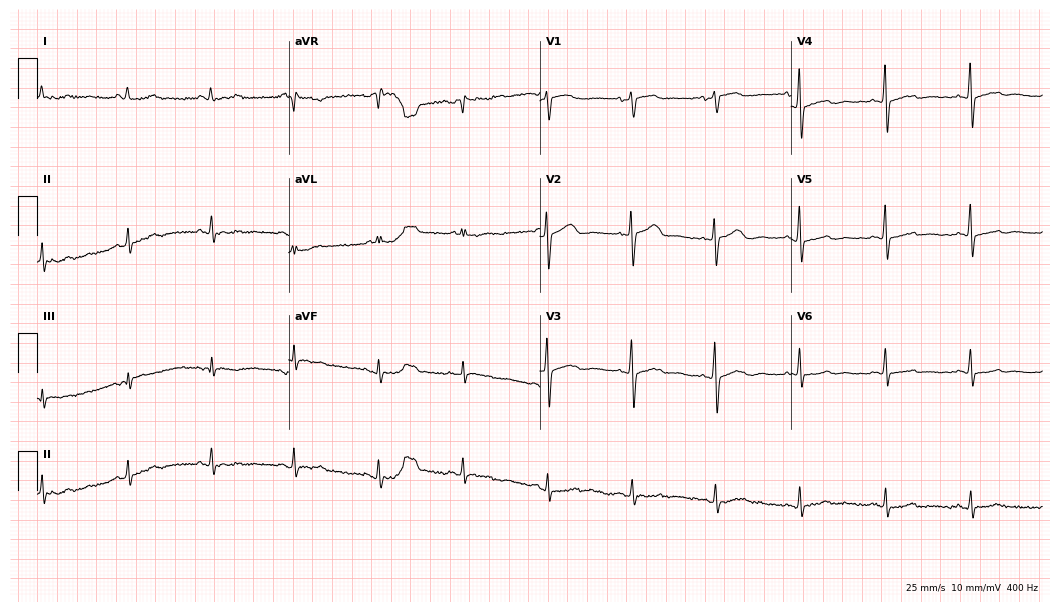
Standard 12-lead ECG recorded from a 67-year-old female patient. Read as a normal ECG.